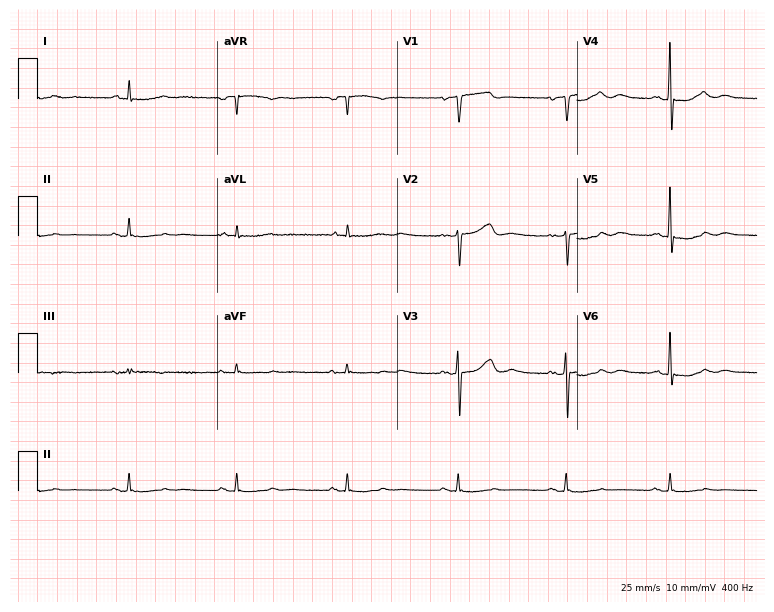
Resting 12-lead electrocardiogram. Patient: an 82-year-old female. None of these six findings is recorded: first-degree AV block, right bundle branch block (RBBB), left bundle branch block (LBBB), sinus bradycardia, atrial fibrillation (AF), sinus tachycardia. Only these six findings were labelled.